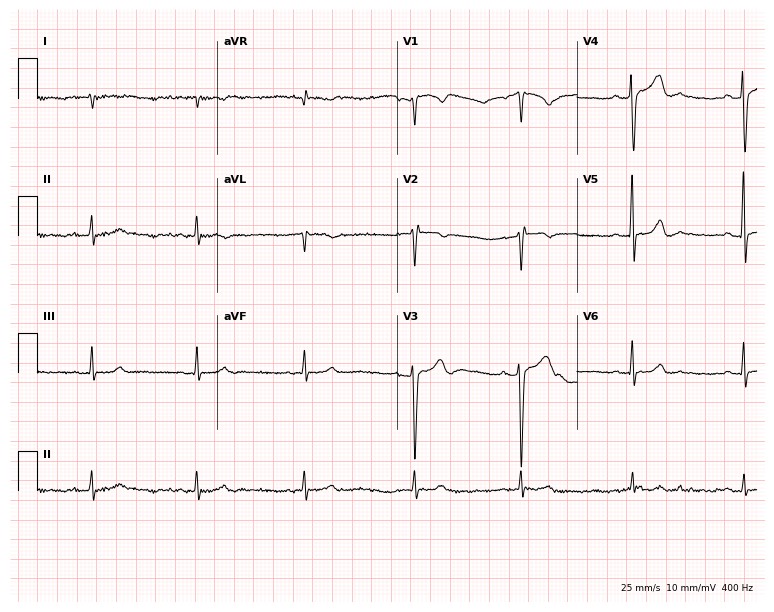
Electrocardiogram, a 56-year-old man. Of the six screened findings (first-degree AV block, right bundle branch block, left bundle branch block, sinus bradycardia, atrial fibrillation, sinus tachycardia), none is recorded. Only these six findings were labelled.